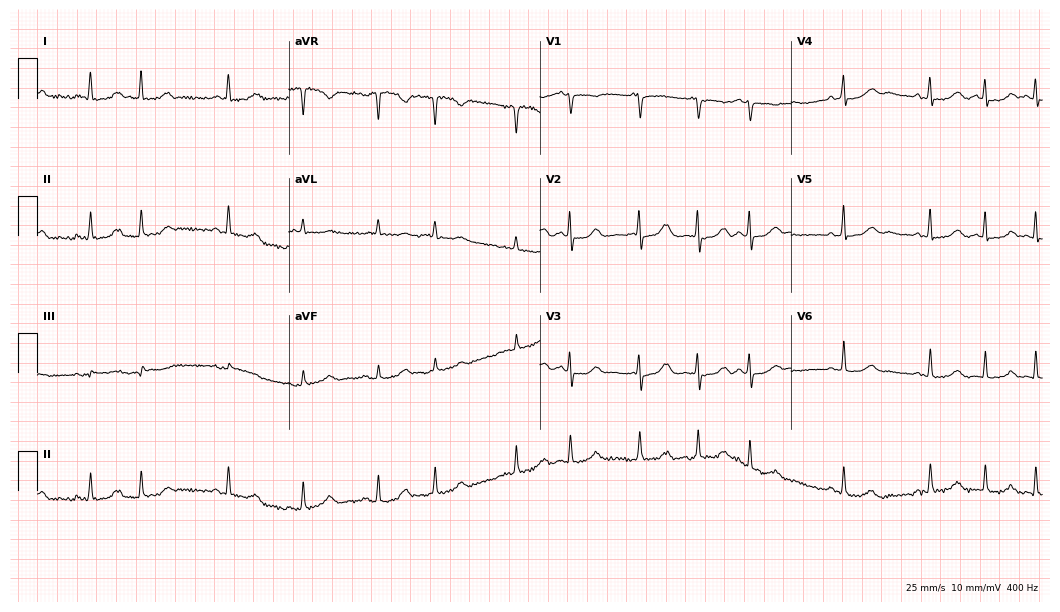
Electrocardiogram (10.2-second recording at 400 Hz), a 72-year-old female. Of the six screened findings (first-degree AV block, right bundle branch block, left bundle branch block, sinus bradycardia, atrial fibrillation, sinus tachycardia), none is recorded.